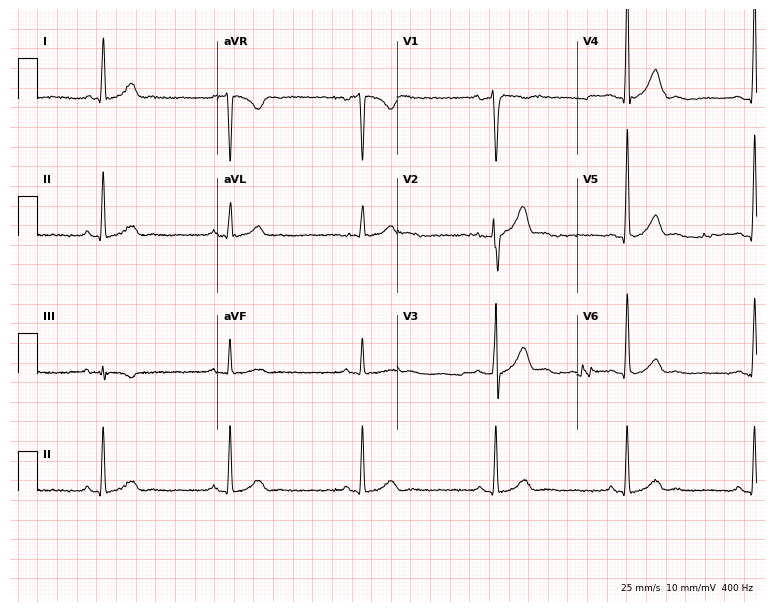
ECG — a male, 44 years old. Findings include sinus bradycardia (a sinus rate of 50 beats per minute or less).